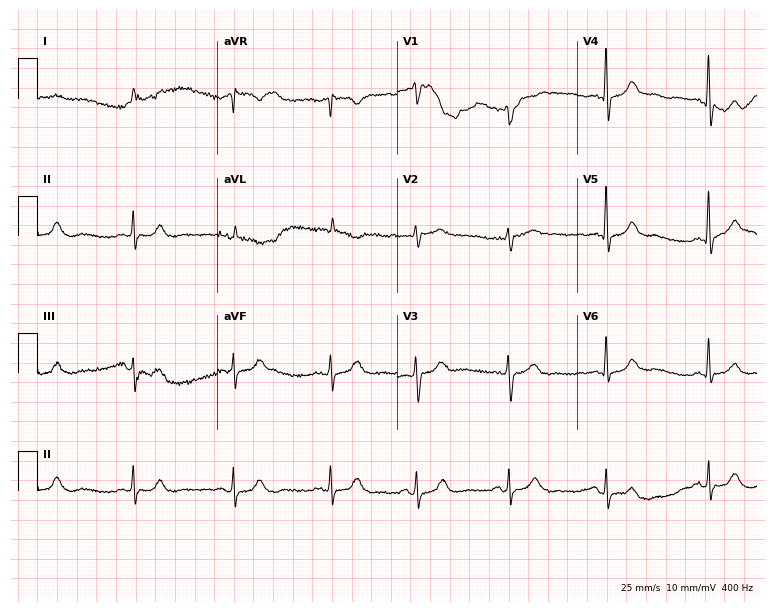
ECG (7.3-second recording at 400 Hz) — a male, 78 years old. Screened for six findings — first-degree AV block, right bundle branch block, left bundle branch block, sinus bradycardia, atrial fibrillation, sinus tachycardia — none is recorded.